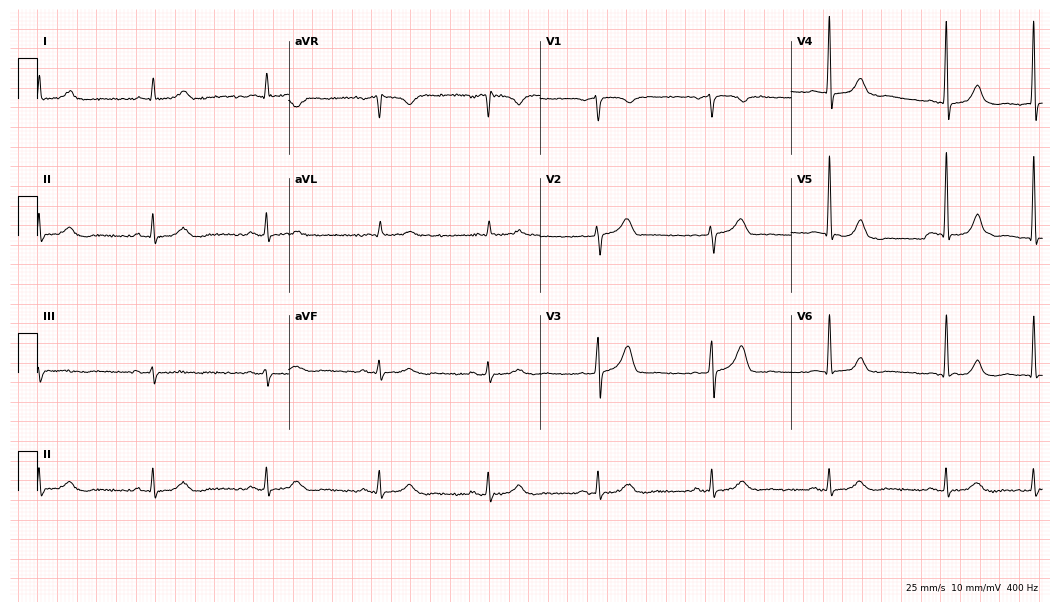
ECG — an 81-year-old male patient. Labelled as a normal ECG.